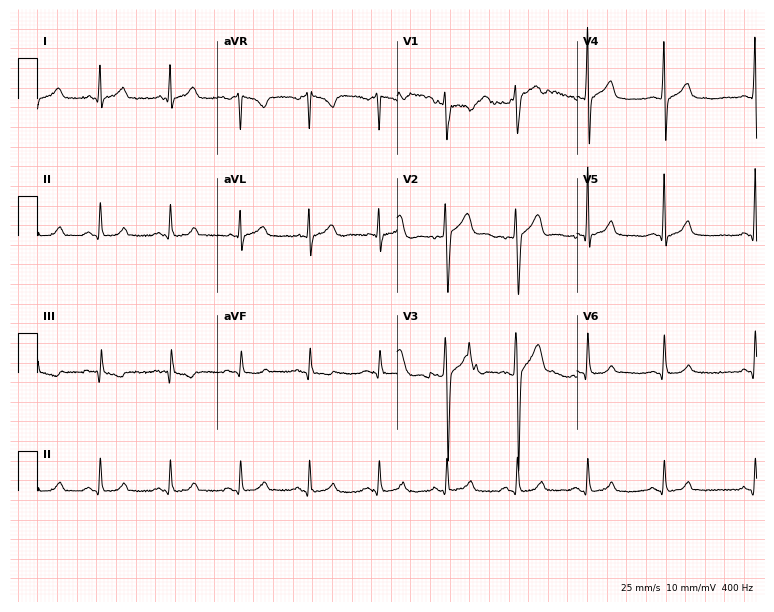
12-lead ECG from a man, 24 years old. No first-degree AV block, right bundle branch block, left bundle branch block, sinus bradycardia, atrial fibrillation or sinus tachycardia recorded for this tracing.